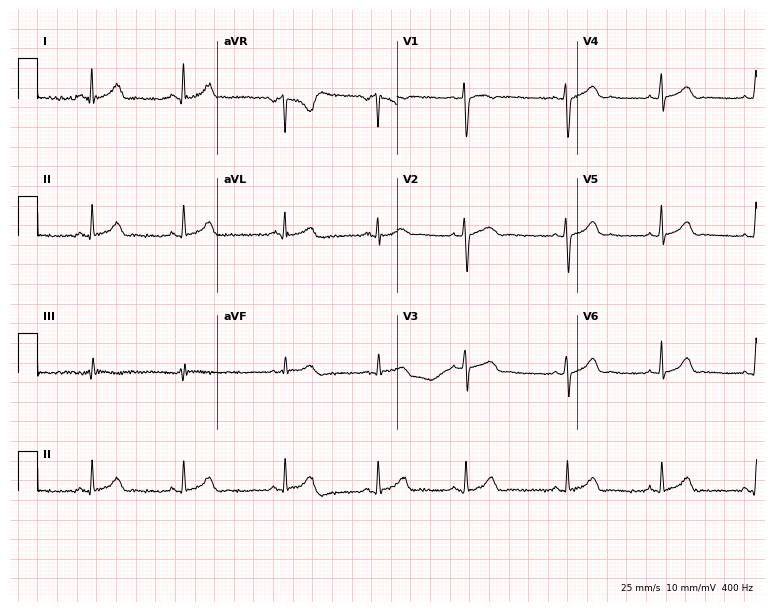
Resting 12-lead electrocardiogram (7.3-second recording at 400 Hz). Patient: a woman, 23 years old. None of these six findings is recorded: first-degree AV block, right bundle branch block, left bundle branch block, sinus bradycardia, atrial fibrillation, sinus tachycardia.